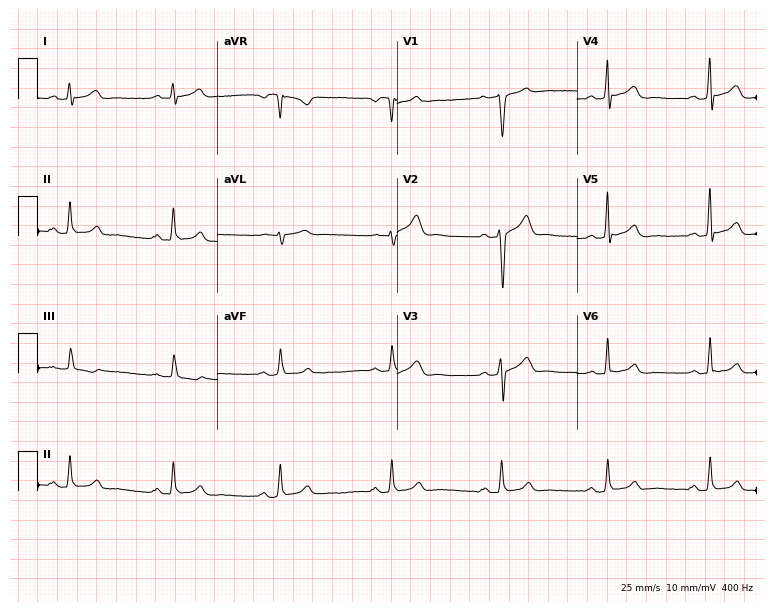
12-lead ECG (7.3-second recording at 400 Hz) from a 43-year-old male patient. Screened for six findings — first-degree AV block, right bundle branch block, left bundle branch block, sinus bradycardia, atrial fibrillation, sinus tachycardia — none is recorded. Findings outside these six are not listed.